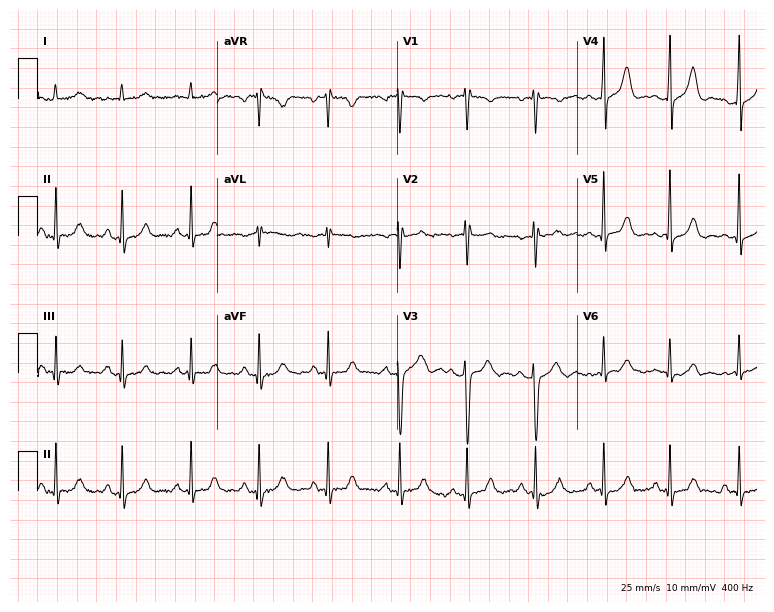
Resting 12-lead electrocardiogram. Patient: a 35-year-old woman. Read as a normal ECG.